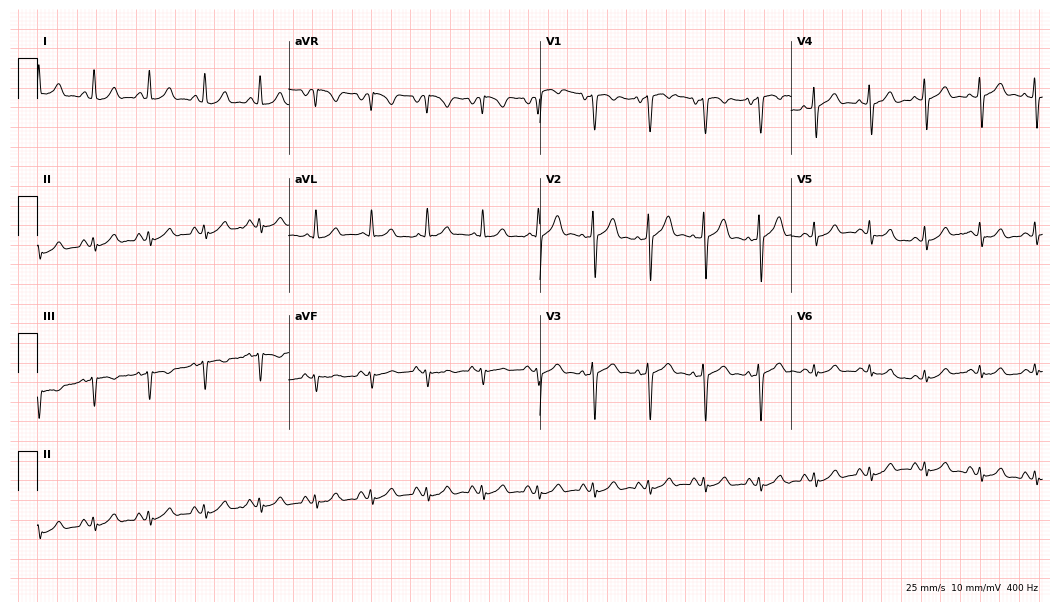
12-lead ECG from a male, 68 years old (10.2-second recording at 400 Hz). Shows sinus tachycardia (a sinus rate of 100 beats per minute or more).